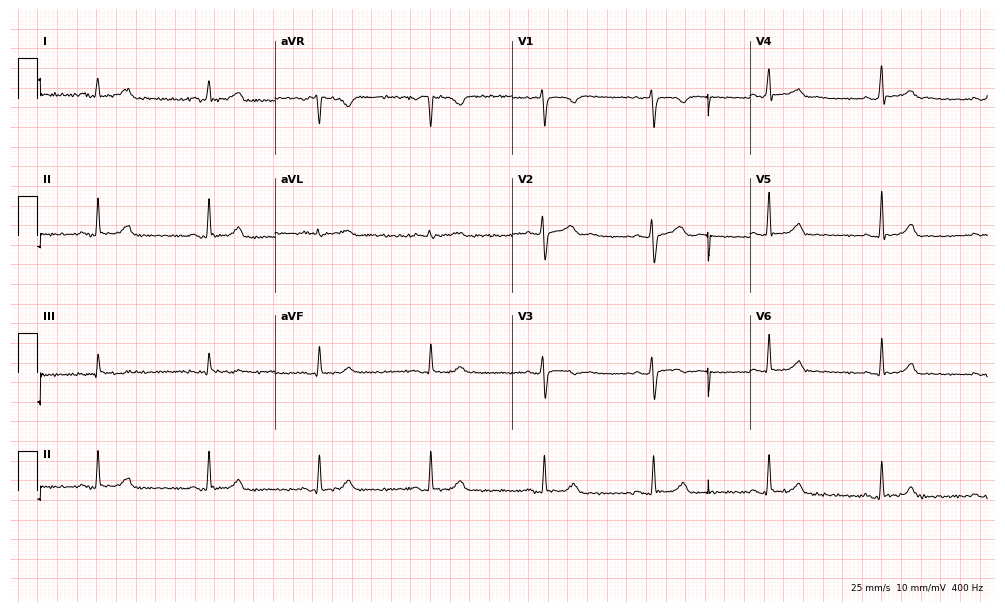
Standard 12-lead ECG recorded from a female patient, 19 years old. Read as a normal ECG.